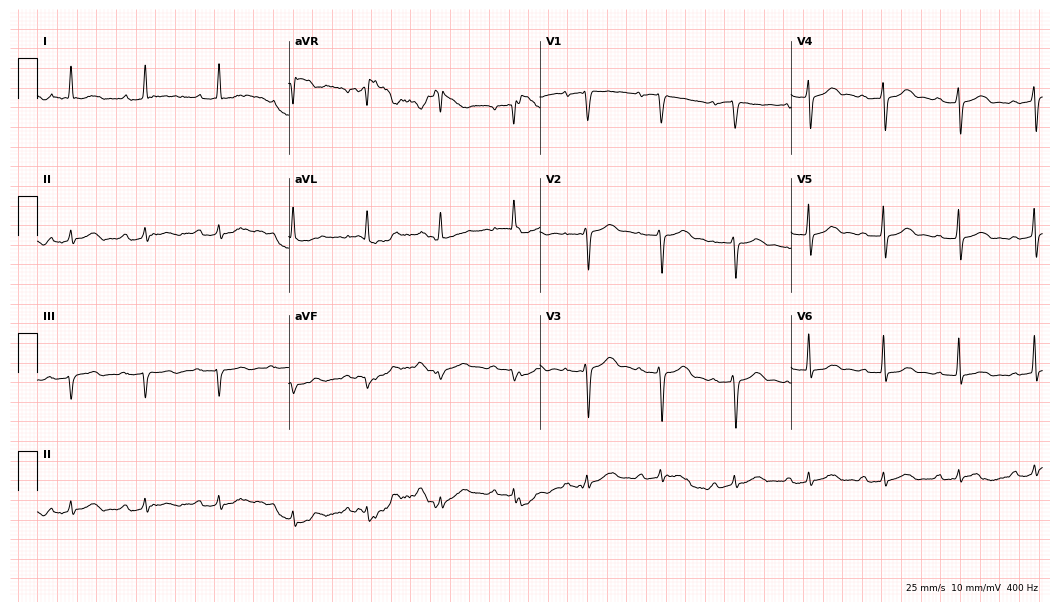
12-lead ECG from a man, 81 years old. Labelled as a normal ECG.